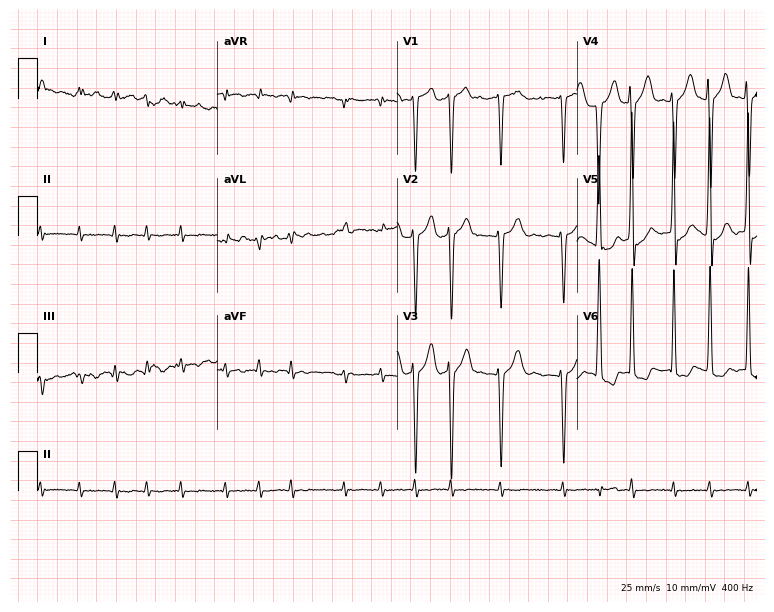
Standard 12-lead ECG recorded from a 70-year-old female. The tracing shows atrial fibrillation.